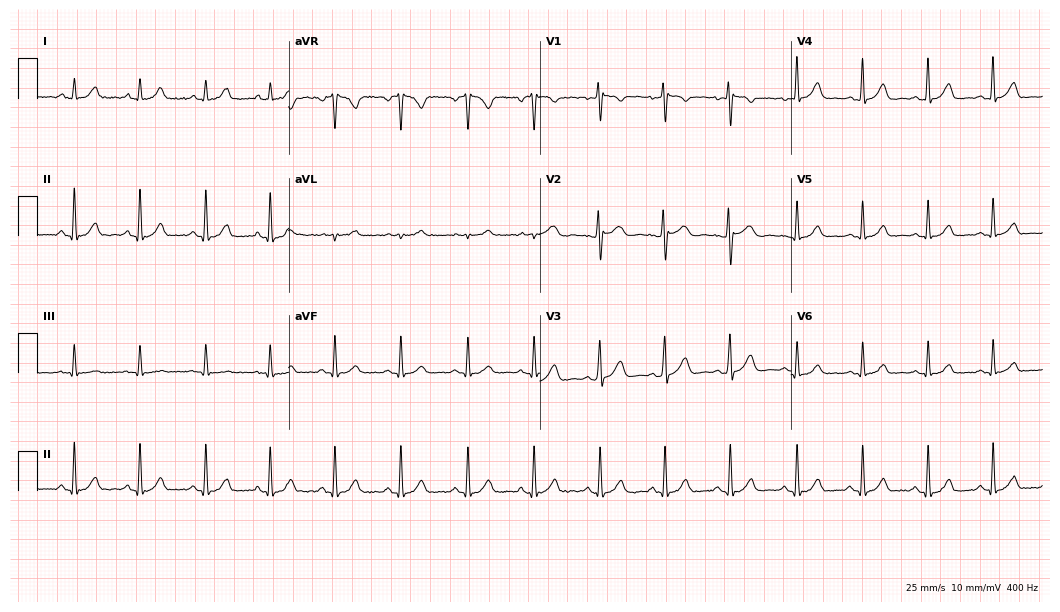
Standard 12-lead ECG recorded from a female, 27 years old (10.2-second recording at 400 Hz). Read as a normal ECG.